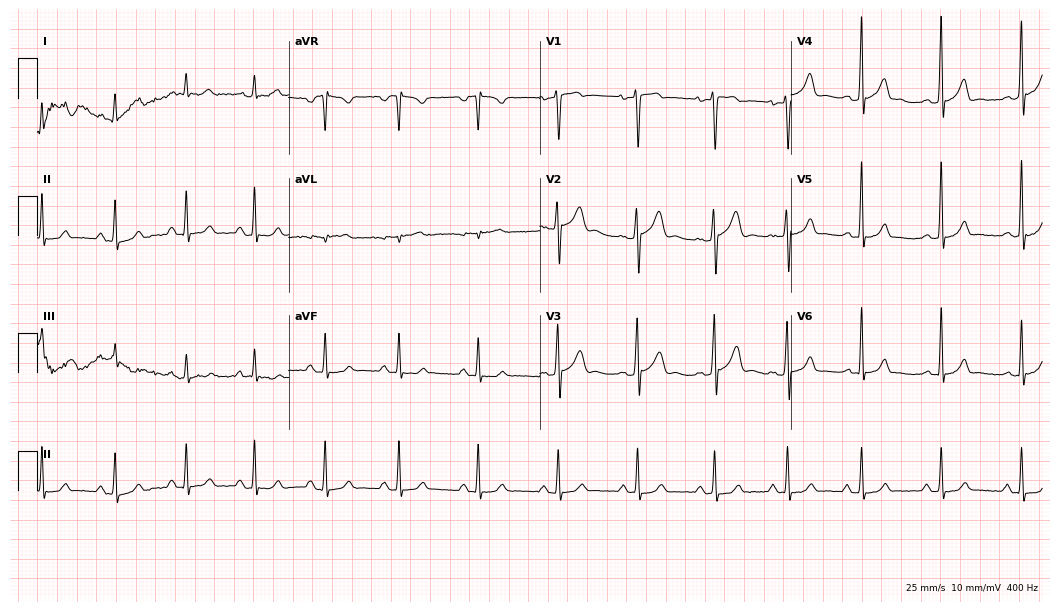
12-lead ECG from a male patient, 27 years old (10.2-second recording at 400 Hz). No first-degree AV block, right bundle branch block, left bundle branch block, sinus bradycardia, atrial fibrillation or sinus tachycardia recorded for this tracing.